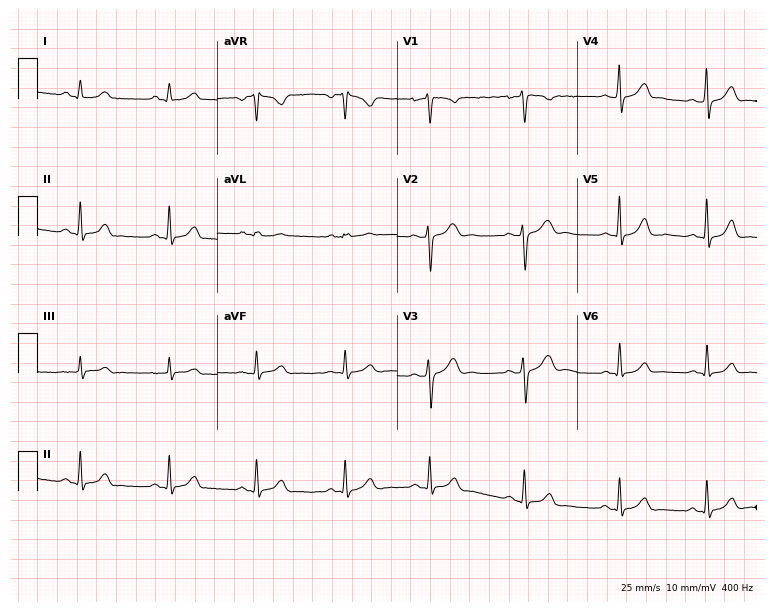
Standard 12-lead ECG recorded from a female patient, 28 years old (7.3-second recording at 400 Hz). None of these six findings is recorded: first-degree AV block, right bundle branch block (RBBB), left bundle branch block (LBBB), sinus bradycardia, atrial fibrillation (AF), sinus tachycardia. Findings outside these six are not listed.